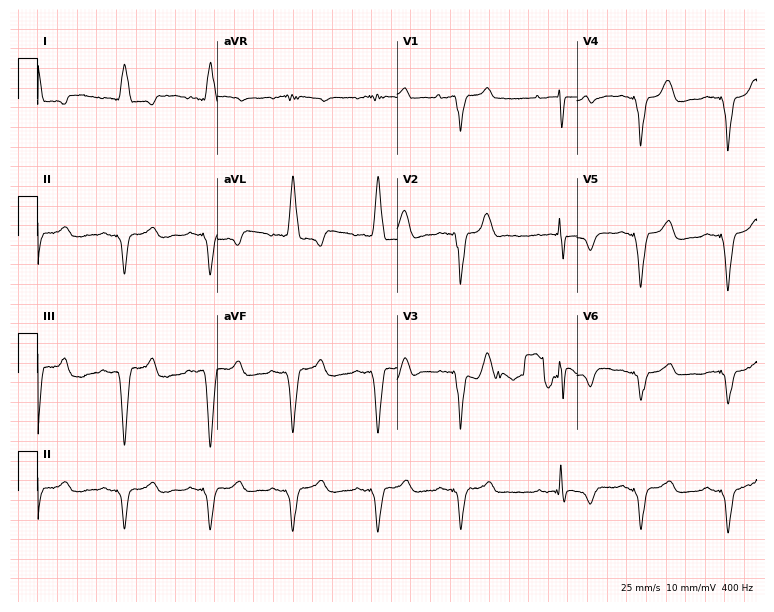
Standard 12-lead ECG recorded from a female patient, 78 years old (7.3-second recording at 400 Hz). None of these six findings is recorded: first-degree AV block, right bundle branch block (RBBB), left bundle branch block (LBBB), sinus bradycardia, atrial fibrillation (AF), sinus tachycardia. Only these six findings were labelled.